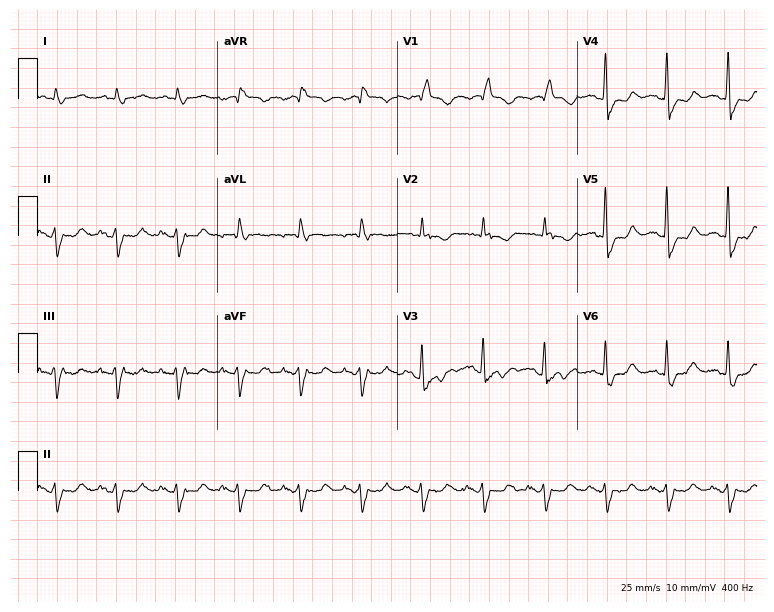
Resting 12-lead electrocardiogram. Patient: a man, 65 years old. The tracing shows right bundle branch block (RBBB).